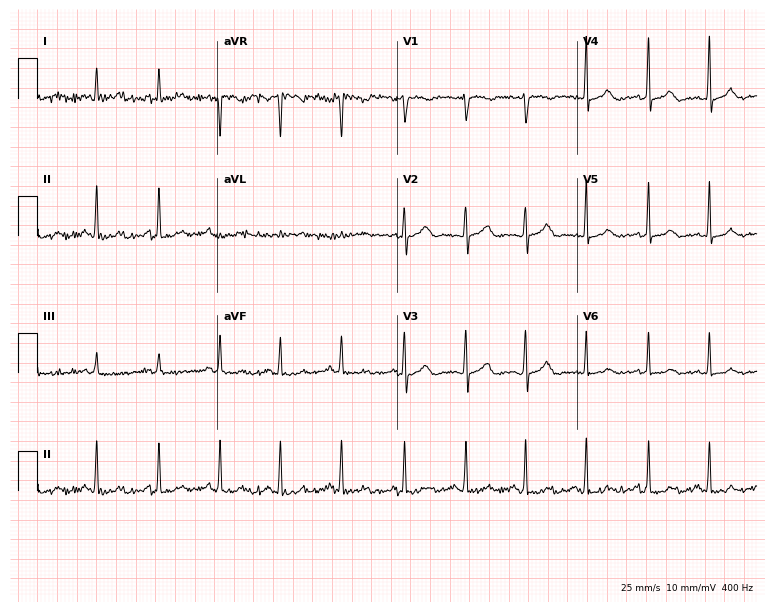
12-lead ECG (7.3-second recording at 400 Hz) from a 47-year-old woman. Labelled as a normal ECG.